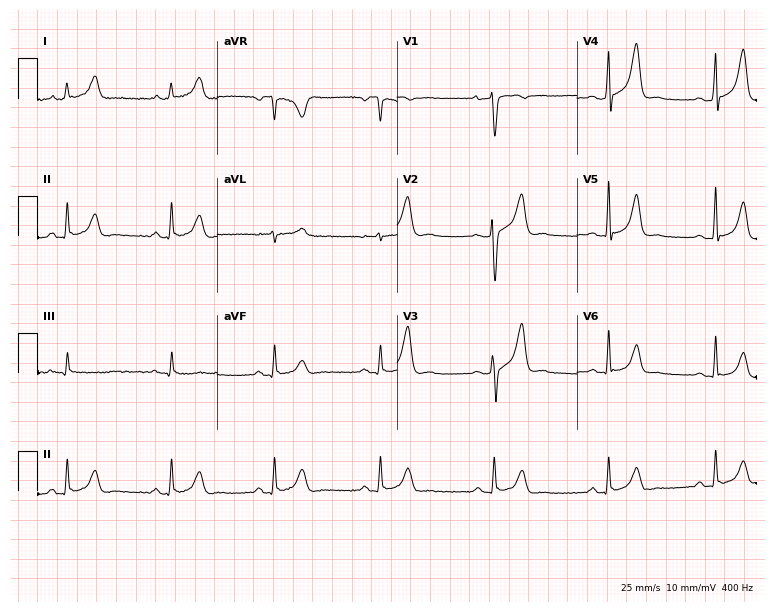
Standard 12-lead ECG recorded from a 42-year-old male. None of these six findings is recorded: first-degree AV block, right bundle branch block, left bundle branch block, sinus bradycardia, atrial fibrillation, sinus tachycardia. Only these six findings were labelled.